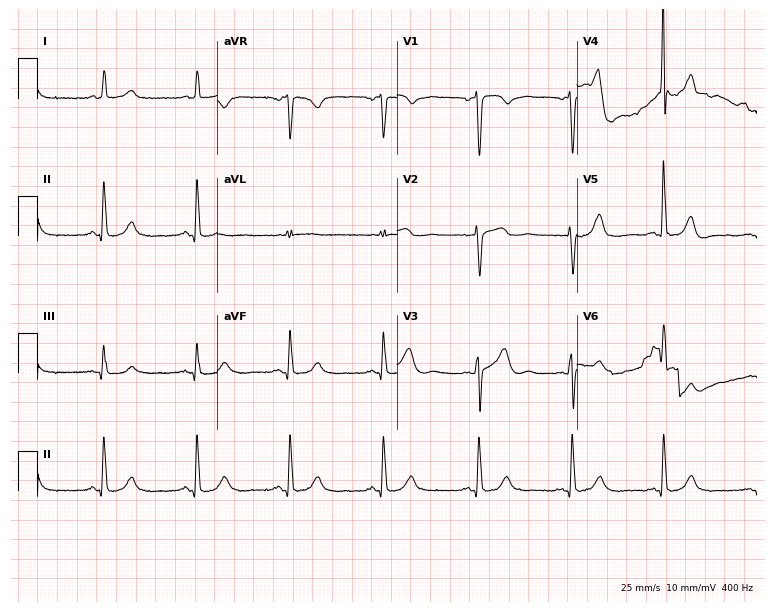
Resting 12-lead electrocardiogram. Patient: a female, 79 years old. Read as a normal ECG.